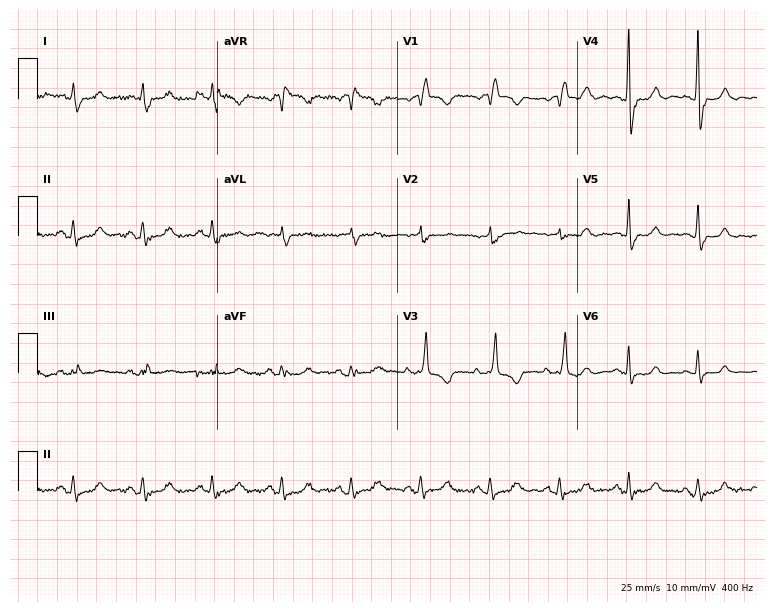
Electrocardiogram, a female, 73 years old. Interpretation includes right bundle branch block.